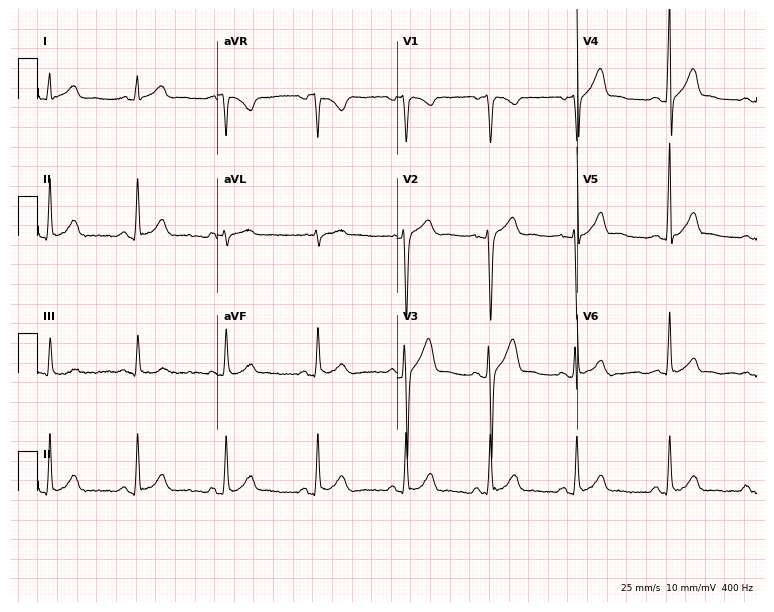
ECG — a male patient, 29 years old. Labelled as a normal ECG.